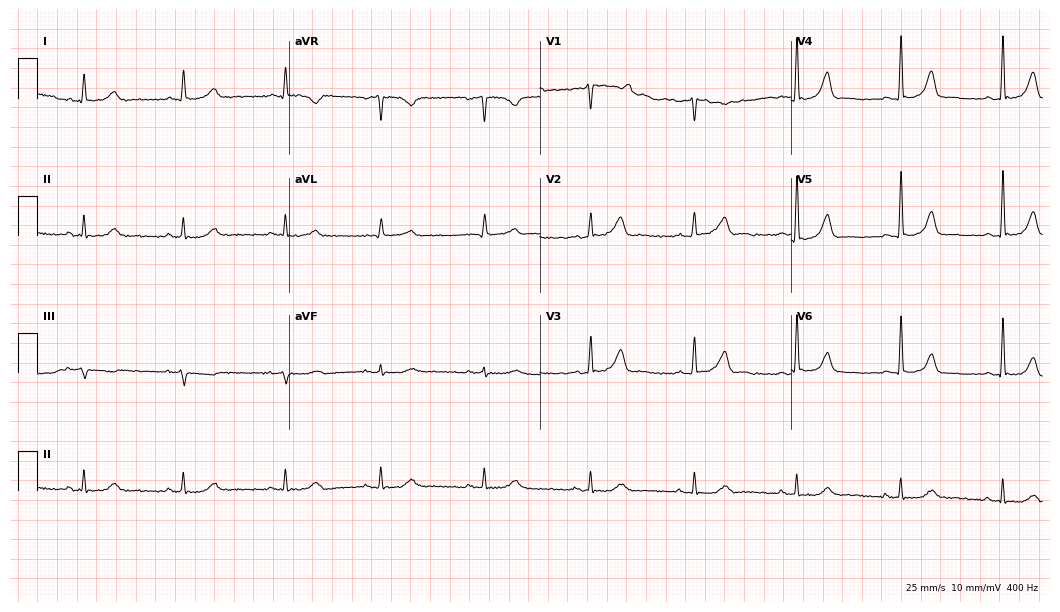
Standard 12-lead ECG recorded from a woman, 51 years old (10.2-second recording at 400 Hz). Read as a normal ECG.